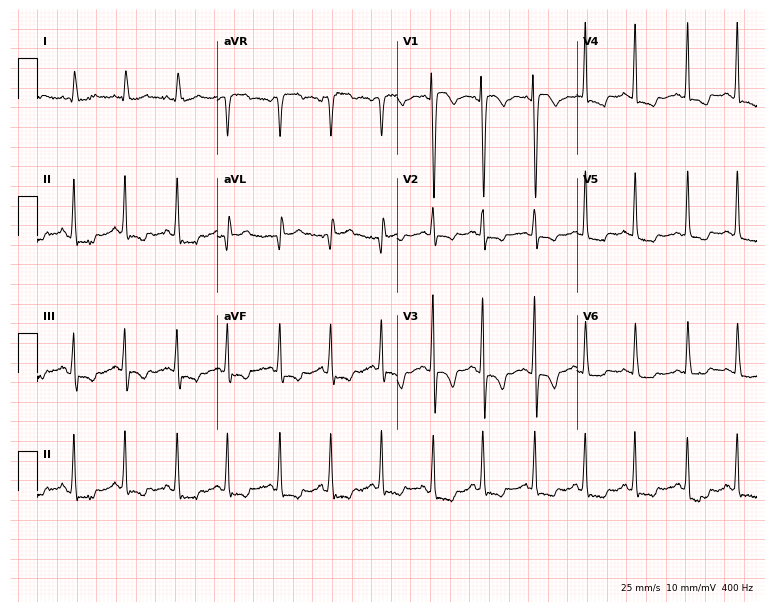
12-lead ECG (7.3-second recording at 400 Hz) from a 59-year-old female. Findings include sinus tachycardia (a sinus rate of 100 beats per minute or more).